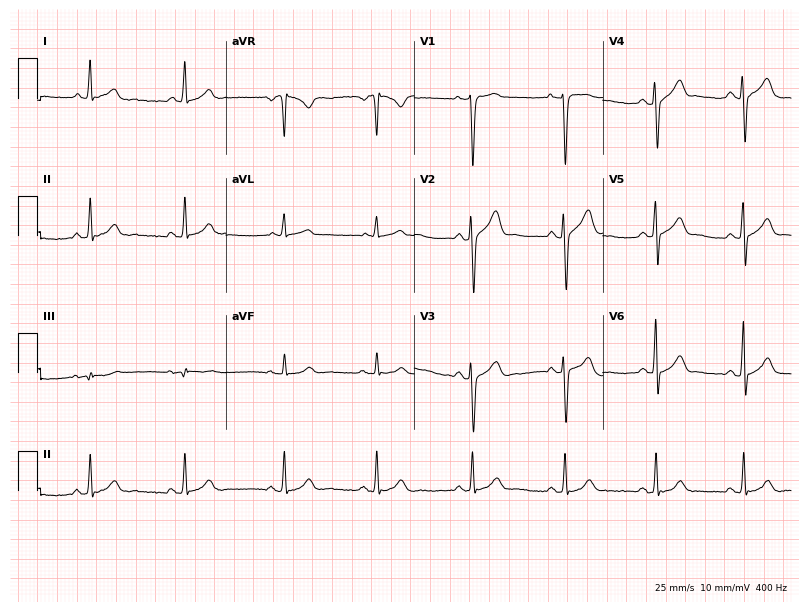
Standard 12-lead ECG recorded from a 23-year-old male (7.7-second recording at 400 Hz). Read as a normal ECG.